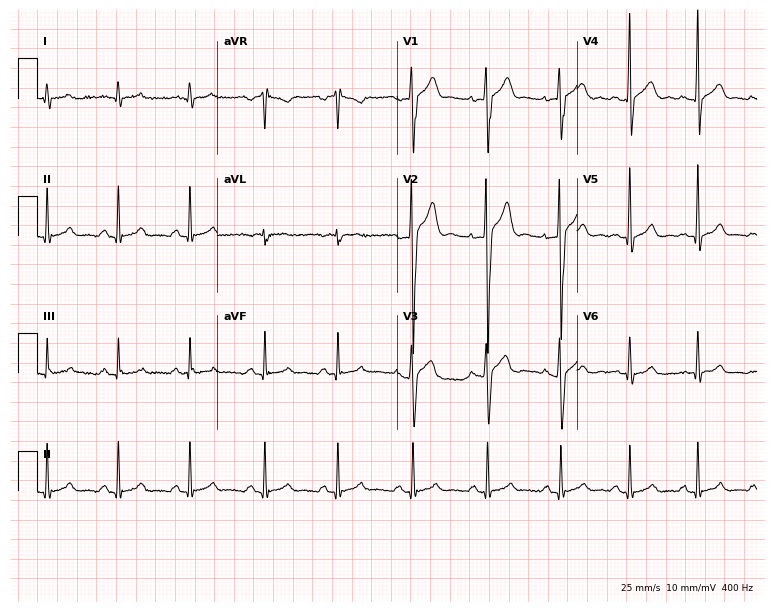
12-lead ECG from a male, 19 years old. Labelled as a normal ECG.